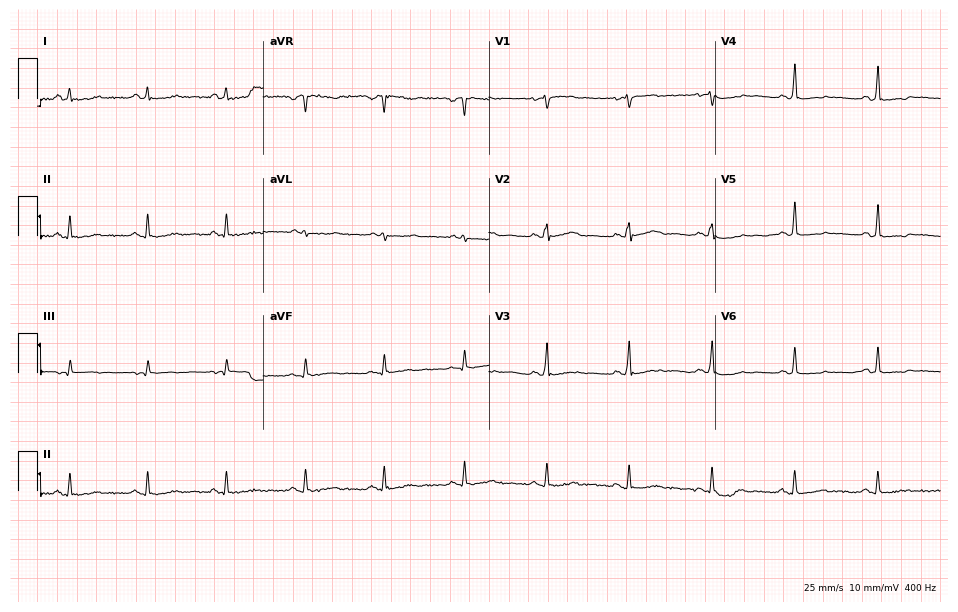
Resting 12-lead electrocardiogram. Patient: a woman, 52 years old. None of these six findings is recorded: first-degree AV block, right bundle branch block, left bundle branch block, sinus bradycardia, atrial fibrillation, sinus tachycardia.